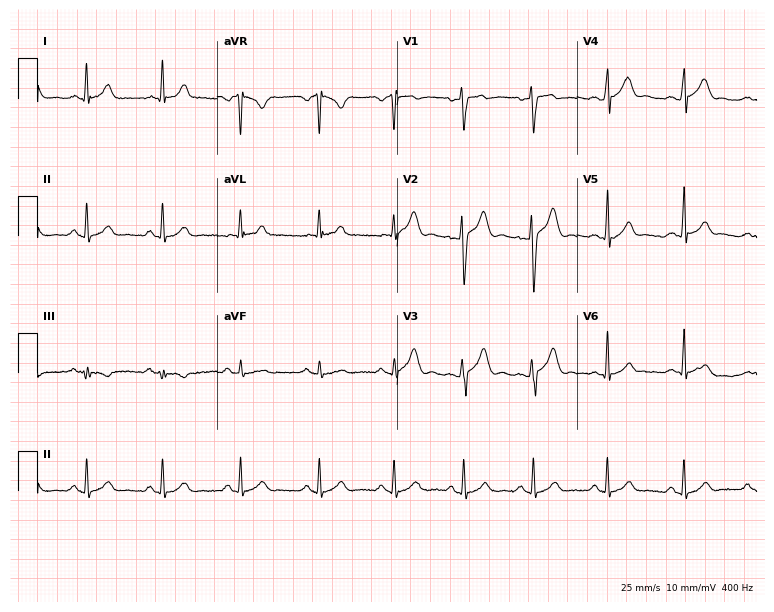
12-lead ECG from a male, 22 years old. Labelled as a normal ECG.